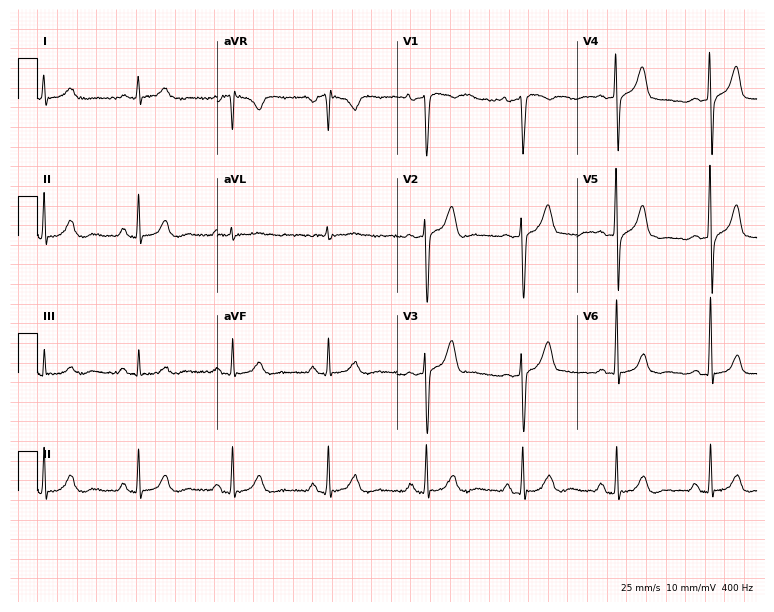
12-lead ECG from a male, 72 years old (7.3-second recording at 400 Hz). No first-degree AV block, right bundle branch block (RBBB), left bundle branch block (LBBB), sinus bradycardia, atrial fibrillation (AF) or sinus tachycardia recorded for this tracing. Only these six findings were labelled.